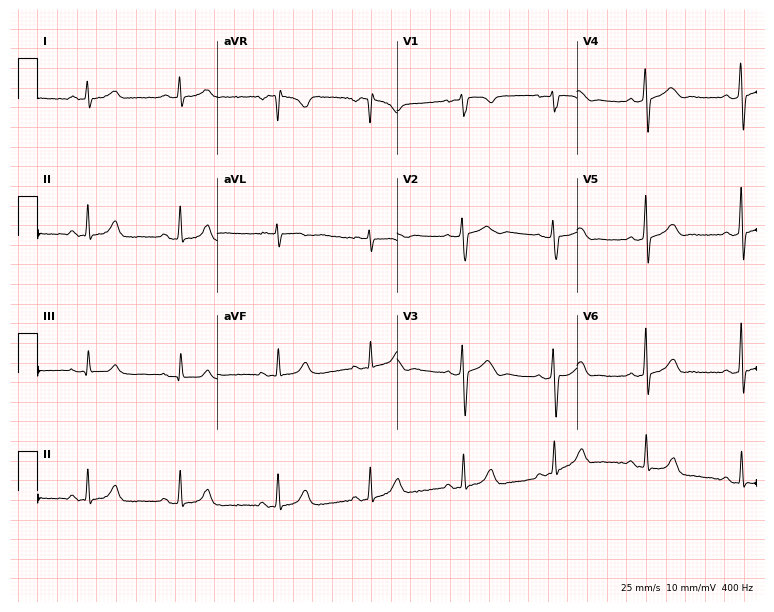
12-lead ECG from a 17-year-old female patient. Screened for six findings — first-degree AV block, right bundle branch block, left bundle branch block, sinus bradycardia, atrial fibrillation, sinus tachycardia — none is recorded. Only these six findings were labelled.